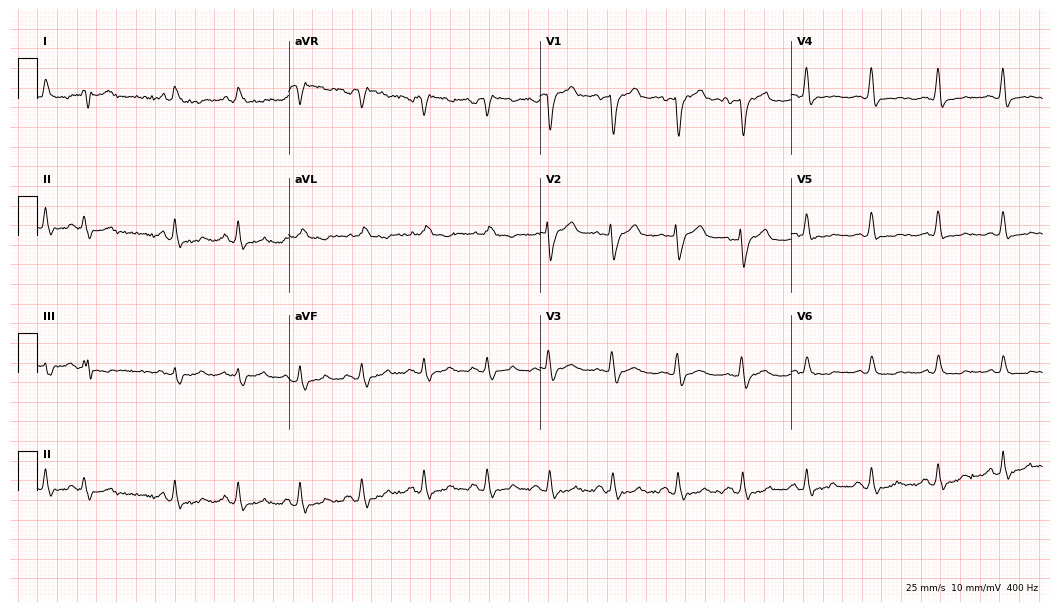
ECG — a 43-year-old female. Screened for six findings — first-degree AV block, right bundle branch block, left bundle branch block, sinus bradycardia, atrial fibrillation, sinus tachycardia — none is recorded. Findings outside these six are not listed.